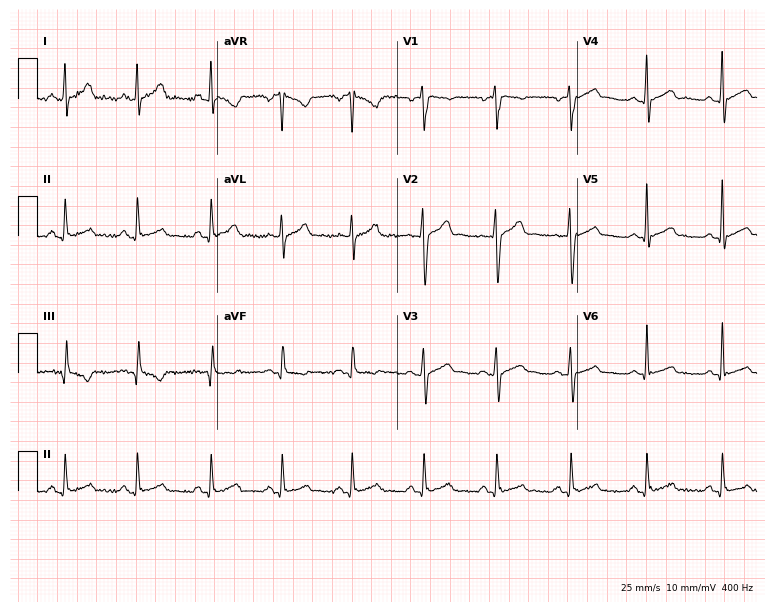
Standard 12-lead ECG recorded from a man, 32 years old. Read as a normal ECG.